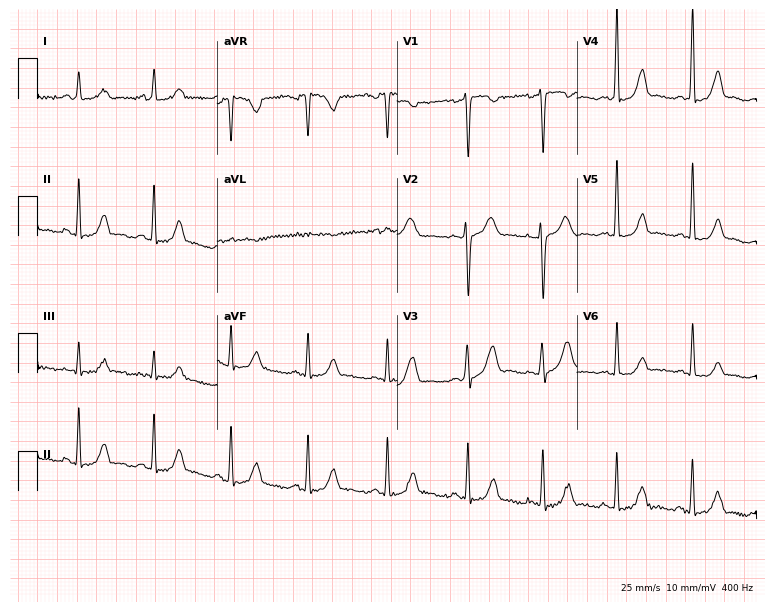
12-lead ECG from a woman, 40 years old. Screened for six findings — first-degree AV block, right bundle branch block (RBBB), left bundle branch block (LBBB), sinus bradycardia, atrial fibrillation (AF), sinus tachycardia — none is recorded. Only these six findings were labelled.